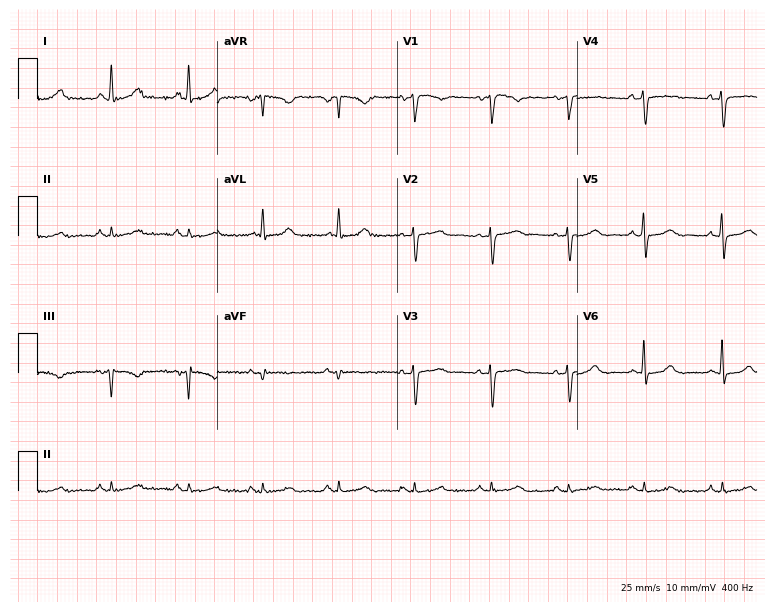
ECG (7.3-second recording at 400 Hz) — a 62-year-old female. Labelled as a normal ECG.